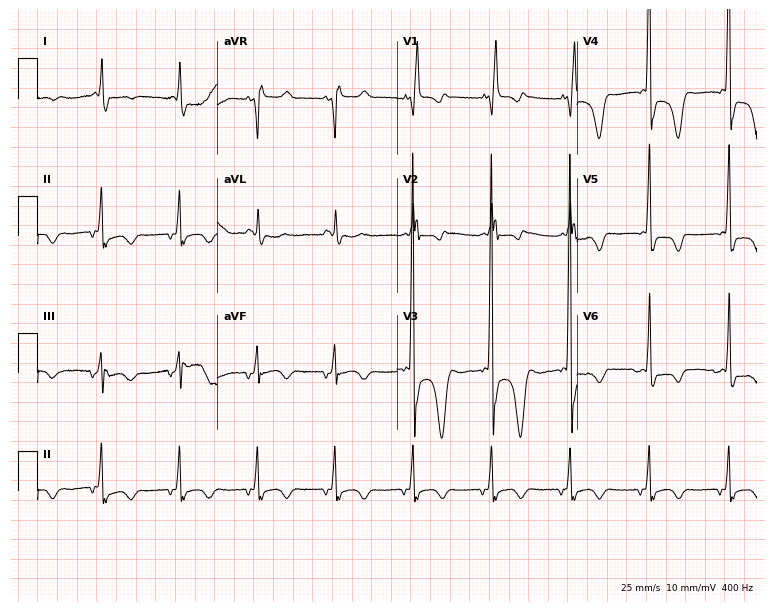
Resting 12-lead electrocardiogram. Patient: a female, 83 years old. None of these six findings is recorded: first-degree AV block, right bundle branch block, left bundle branch block, sinus bradycardia, atrial fibrillation, sinus tachycardia. Other findings, if any, are not listed.